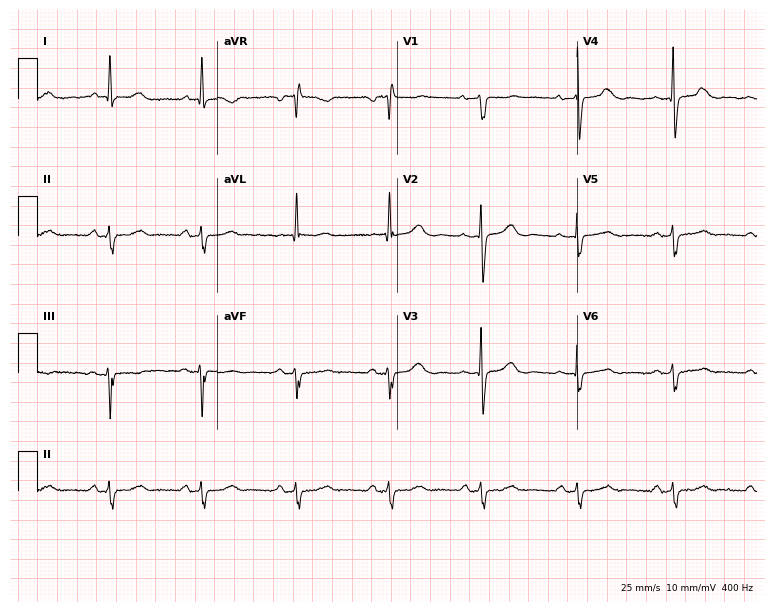
Electrocardiogram (7.3-second recording at 400 Hz), a female, 62 years old. Of the six screened findings (first-degree AV block, right bundle branch block, left bundle branch block, sinus bradycardia, atrial fibrillation, sinus tachycardia), none is recorded.